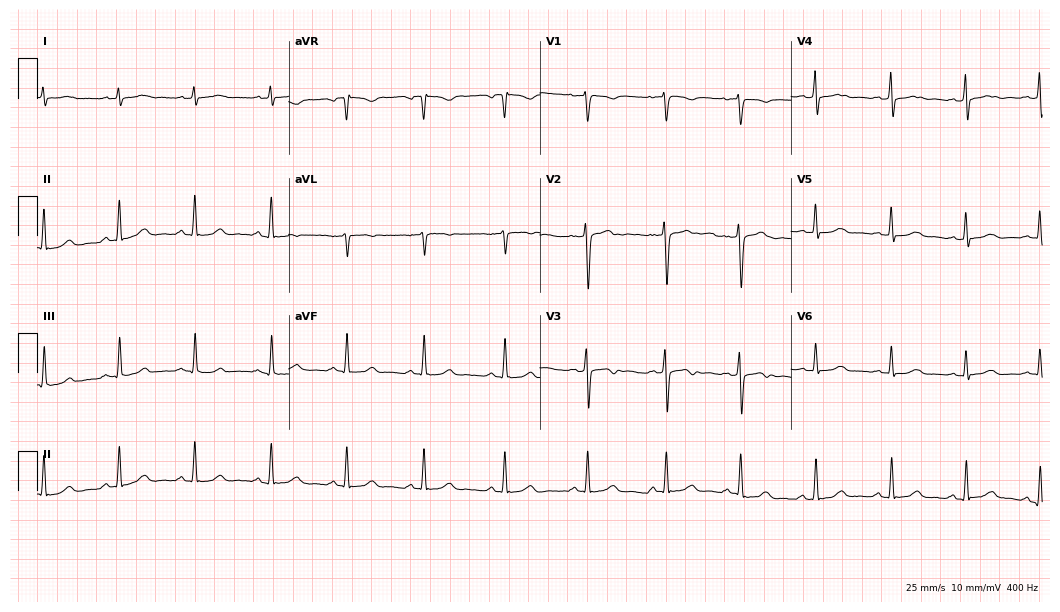
Electrocardiogram, a female patient, 25 years old. Overall reading on record: normal ECG.